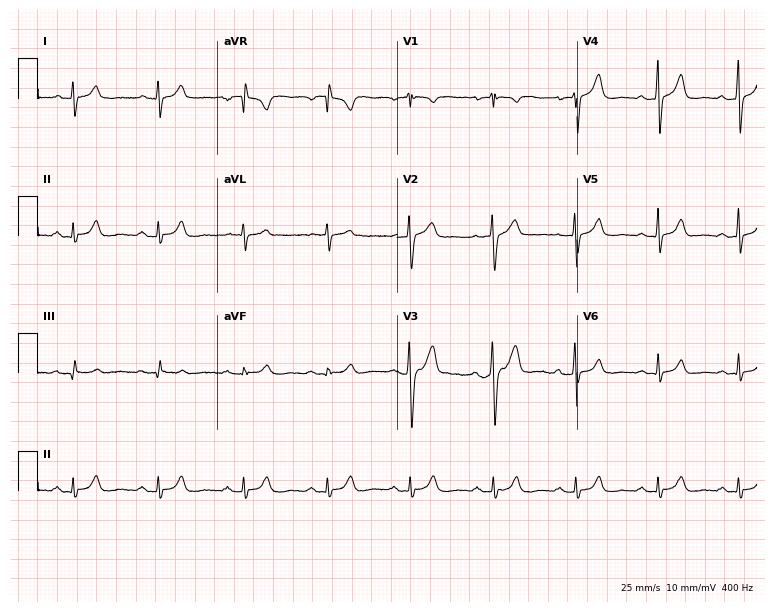
Resting 12-lead electrocardiogram (7.3-second recording at 400 Hz). Patient: a male, 39 years old. Read as a normal ECG.